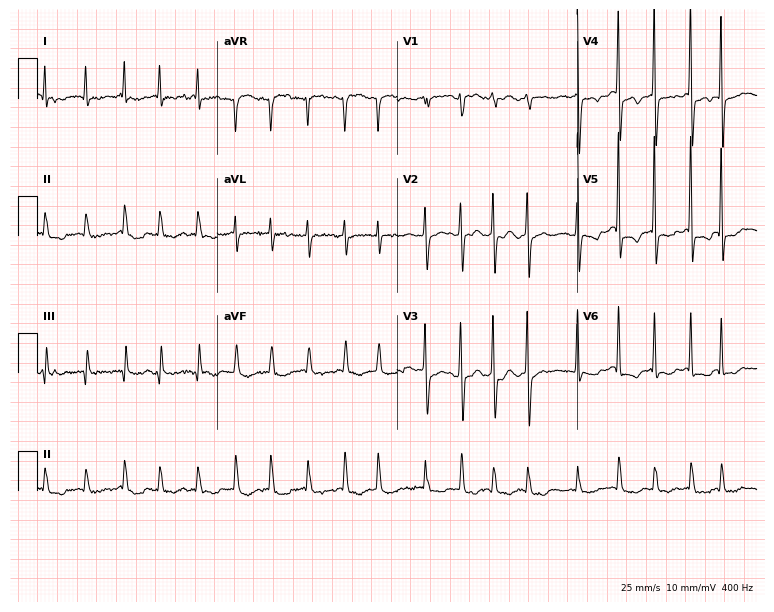
ECG — an 83-year-old female. Findings include atrial fibrillation.